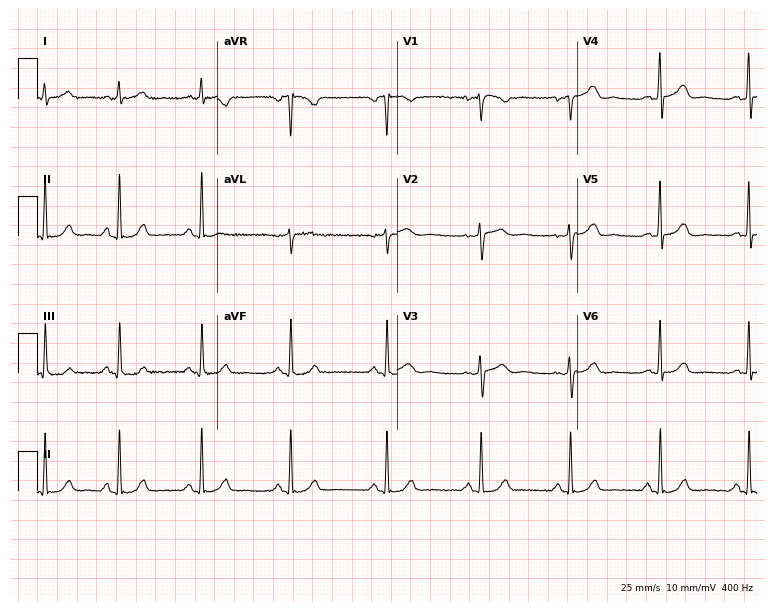
Standard 12-lead ECG recorded from a 61-year-old woman. None of these six findings is recorded: first-degree AV block, right bundle branch block, left bundle branch block, sinus bradycardia, atrial fibrillation, sinus tachycardia. Only these six findings were labelled.